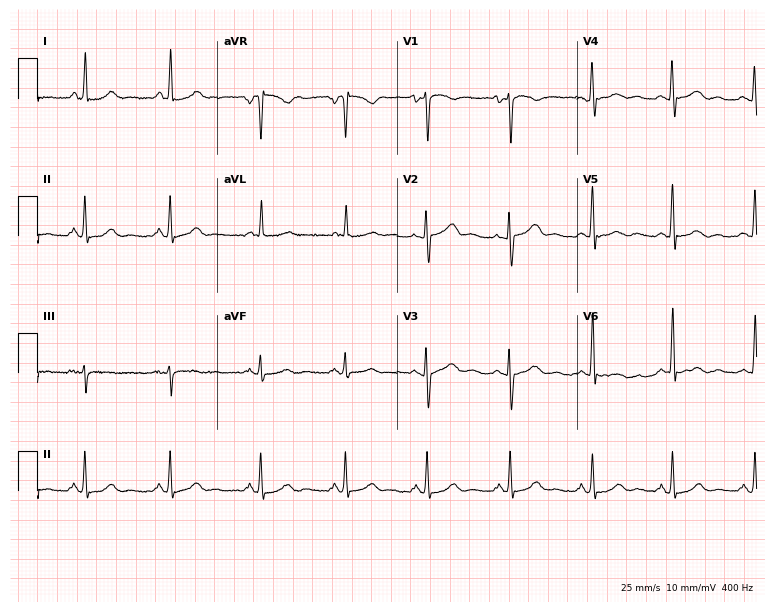
Standard 12-lead ECG recorded from a 43-year-old female patient. None of these six findings is recorded: first-degree AV block, right bundle branch block (RBBB), left bundle branch block (LBBB), sinus bradycardia, atrial fibrillation (AF), sinus tachycardia. Only these six findings were labelled.